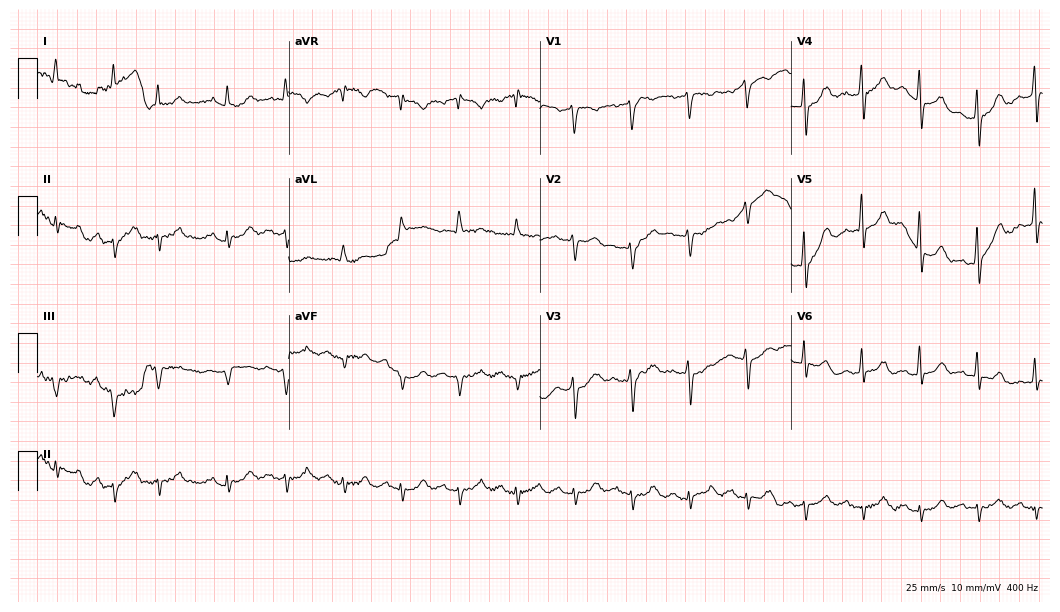
Electrocardiogram (10.2-second recording at 400 Hz), a 68-year-old male patient. Interpretation includes sinus tachycardia (a sinus rate of 100 beats per minute or more).